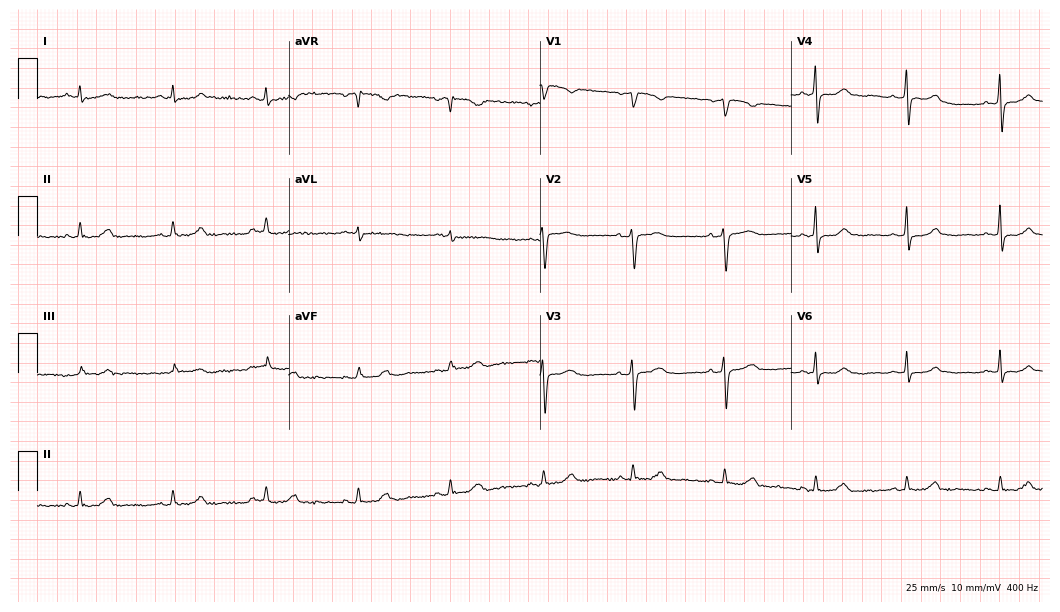
Standard 12-lead ECG recorded from a female, 71 years old (10.2-second recording at 400 Hz). The tracing shows atrial fibrillation.